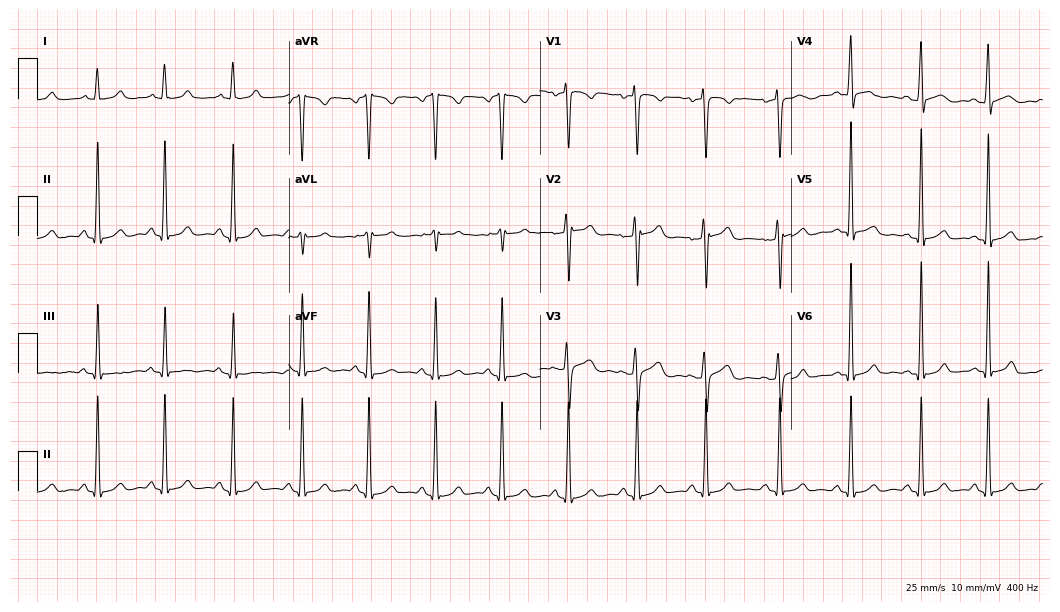
12-lead ECG from a 35-year-old female patient (10.2-second recording at 400 Hz). Recorded interpretation: within normal limits.